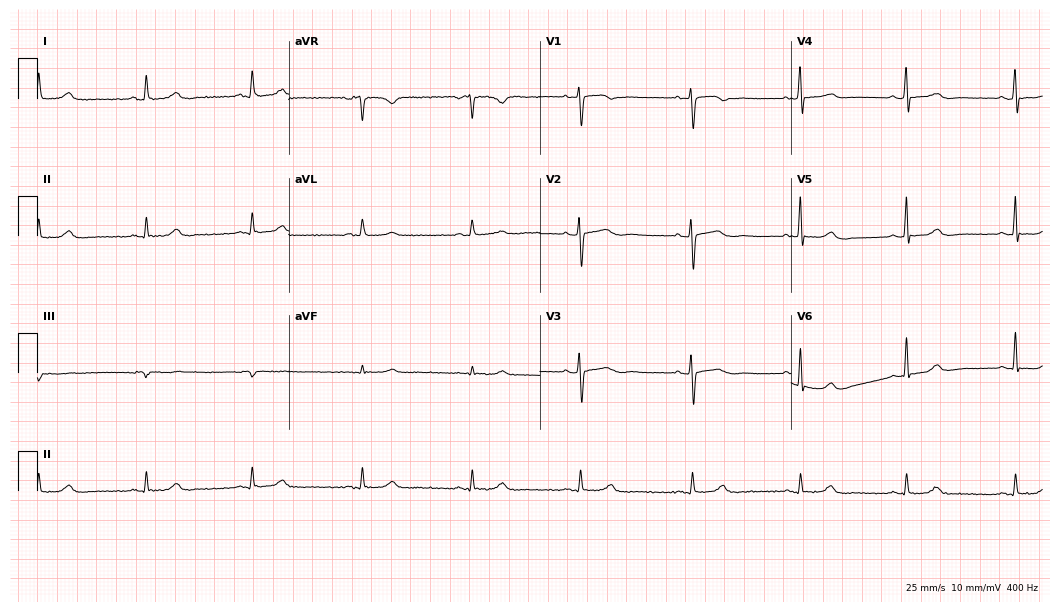
Standard 12-lead ECG recorded from a woman, 56 years old (10.2-second recording at 400 Hz). Read as a normal ECG.